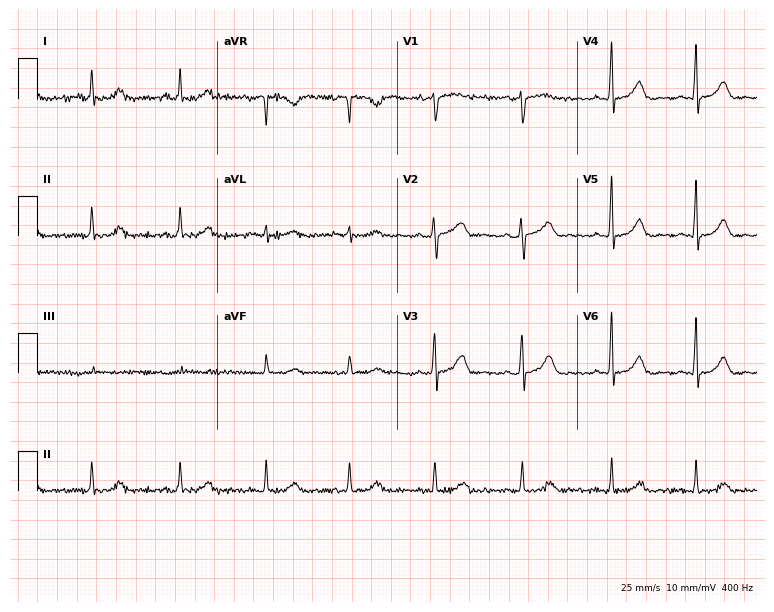
12-lead ECG (7.3-second recording at 400 Hz) from a female, 54 years old. Screened for six findings — first-degree AV block, right bundle branch block, left bundle branch block, sinus bradycardia, atrial fibrillation, sinus tachycardia — none is recorded.